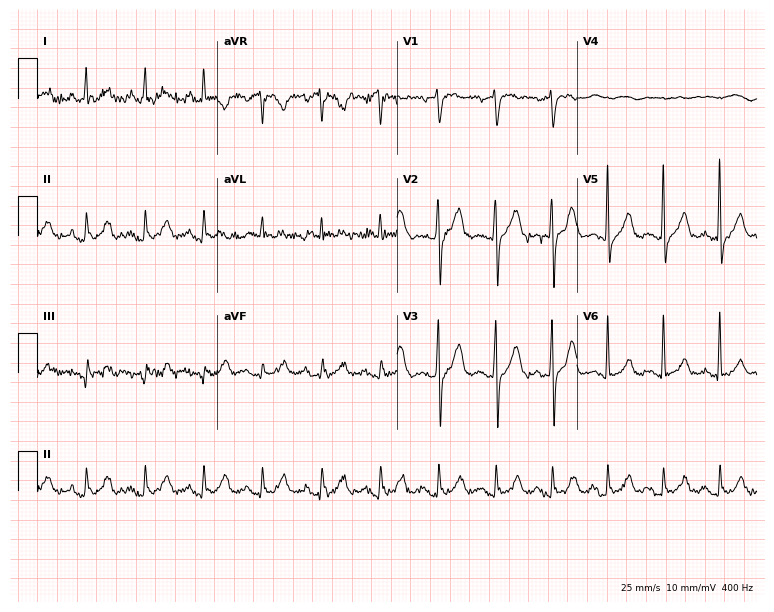
12-lead ECG from a 59-year-old male. Shows sinus tachycardia (a sinus rate of 100 beats per minute or more).